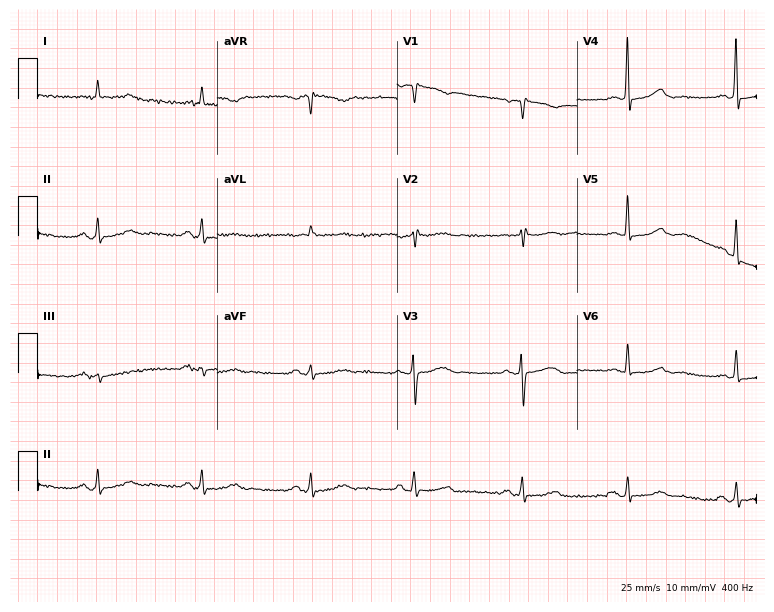
Electrocardiogram (7.3-second recording at 400 Hz), an 85-year-old woman. Of the six screened findings (first-degree AV block, right bundle branch block, left bundle branch block, sinus bradycardia, atrial fibrillation, sinus tachycardia), none is recorded. Other findings, if any, are not listed.